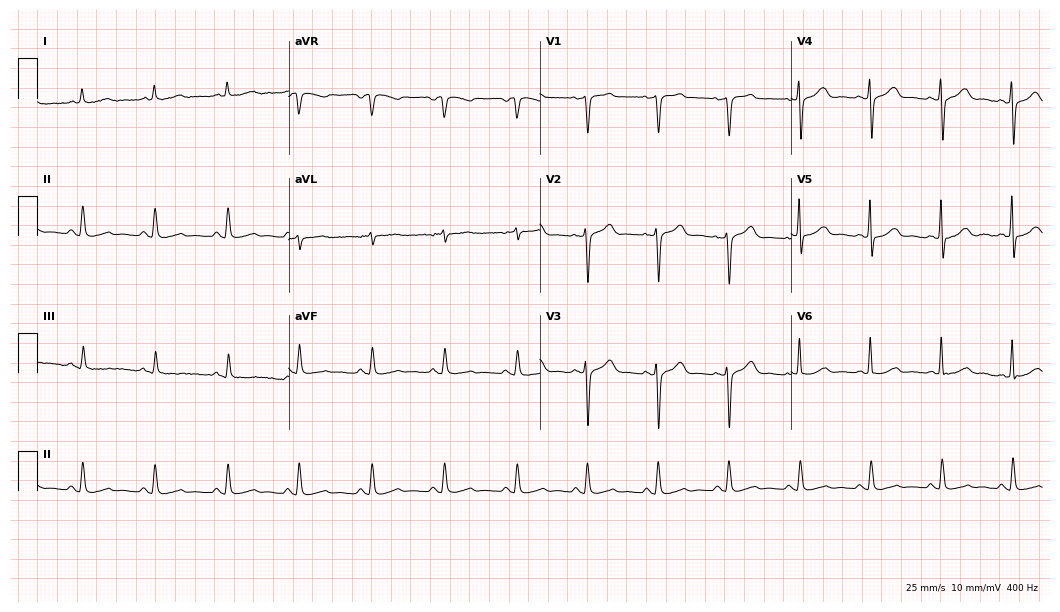
12-lead ECG from a male, 81 years old (10.2-second recording at 400 Hz). No first-degree AV block, right bundle branch block (RBBB), left bundle branch block (LBBB), sinus bradycardia, atrial fibrillation (AF) or sinus tachycardia recorded for this tracing.